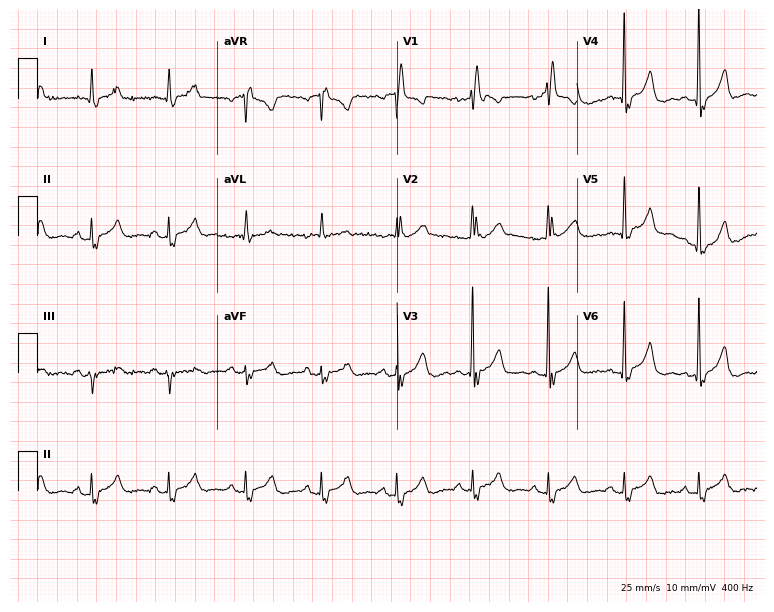
12-lead ECG (7.3-second recording at 400 Hz) from a female patient, 66 years old. Findings include right bundle branch block.